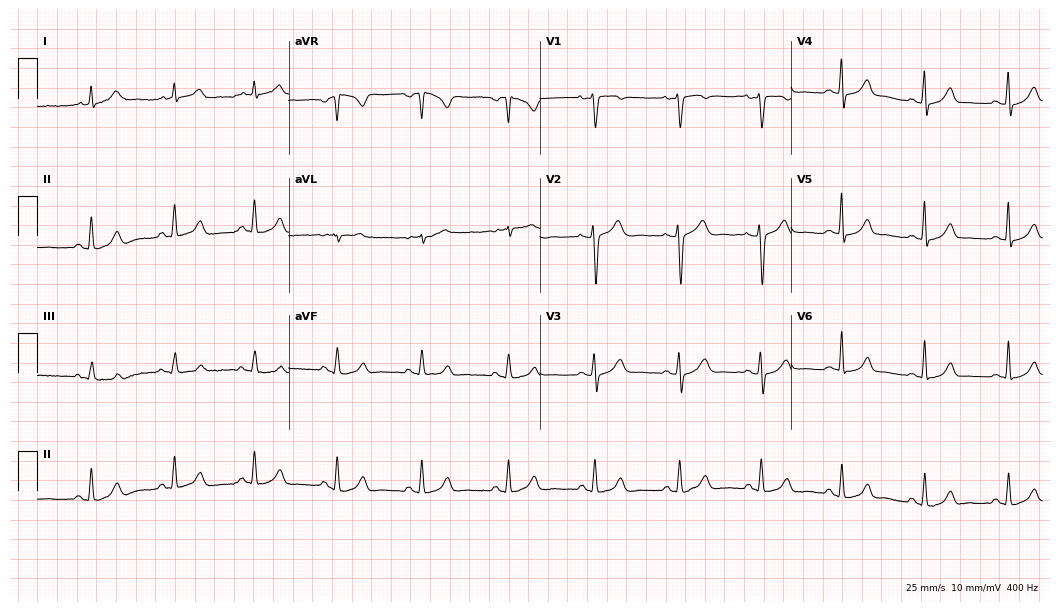
Resting 12-lead electrocardiogram (10.2-second recording at 400 Hz). Patient: a 49-year-old female. Read as a normal ECG.